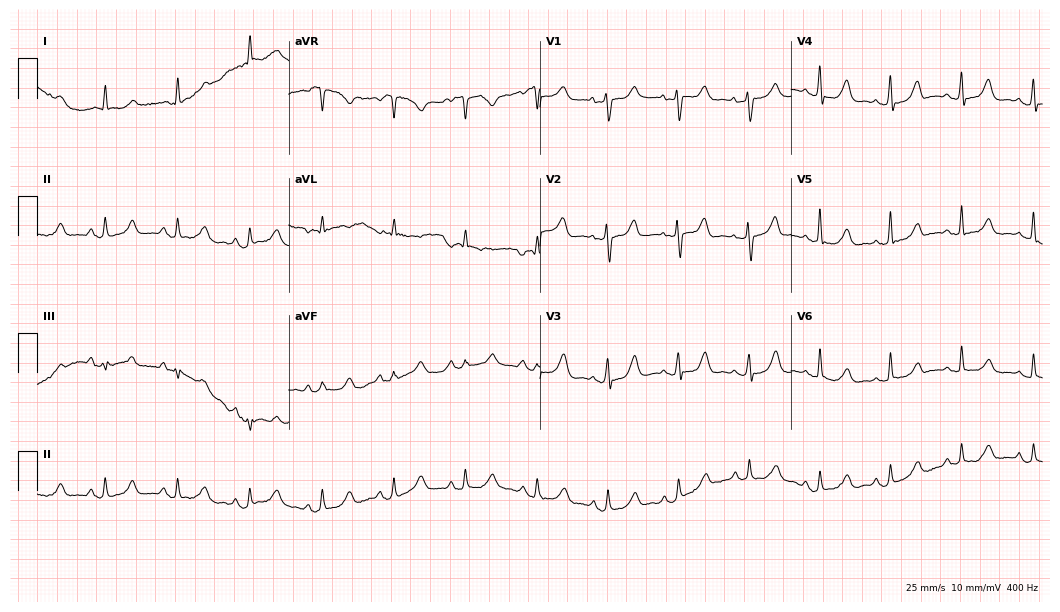
Resting 12-lead electrocardiogram (10.2-second recording at 400 Hz). Patient: a female, 82 years old. Read as a normal ECG.